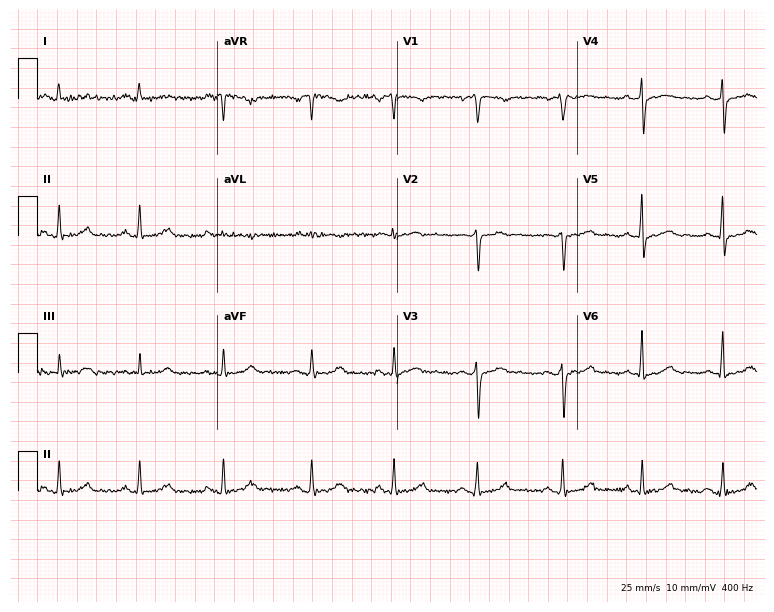
Resting 12-lead electrocardiogram. Patient: a female, 39 years old. None of these six findings is recorded: first-degree AV block, right bundle branch block (RBBB), left bundle branch block (LBBB), sinus bradycardia, atrial fibrillation (AF), sinus tachycardia.